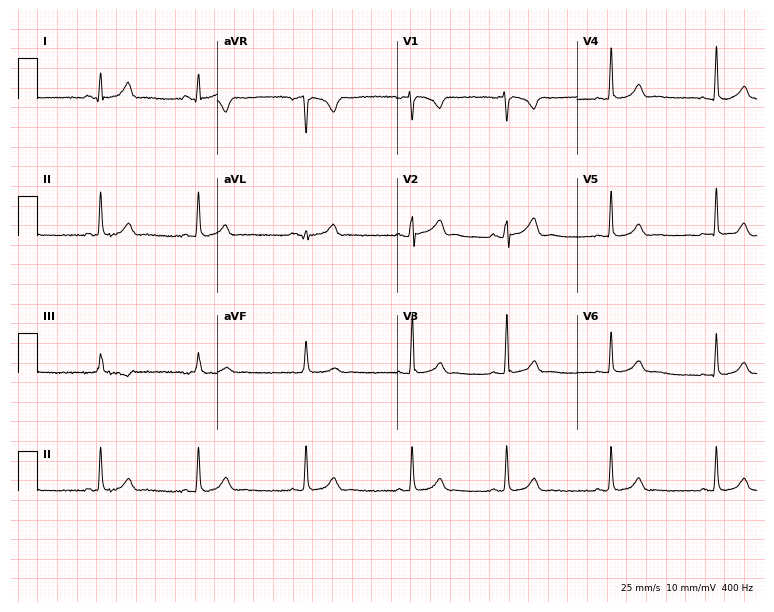
12-lead ECG from a woman, 20 years old. Labelled as a normal ECG.